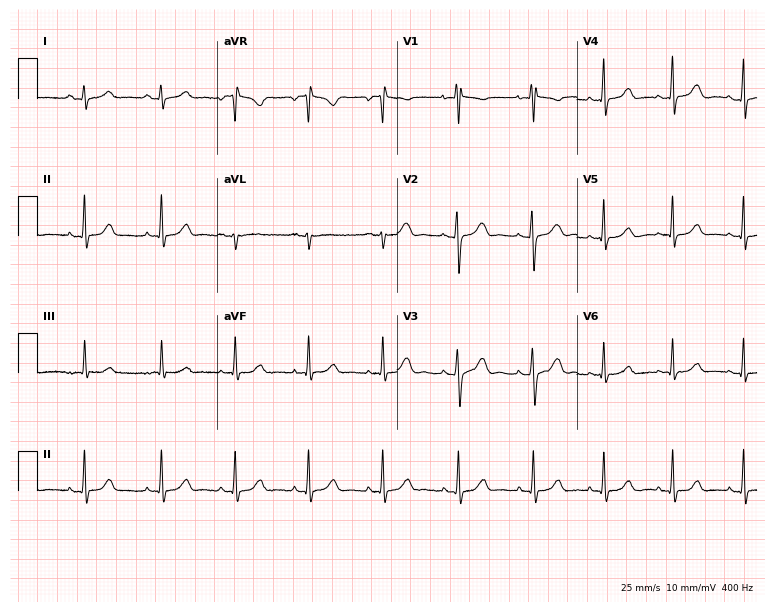
Resting 12-lead electrocardiogram. Patient: a 28-year-old woman. Read as a normal ECG.